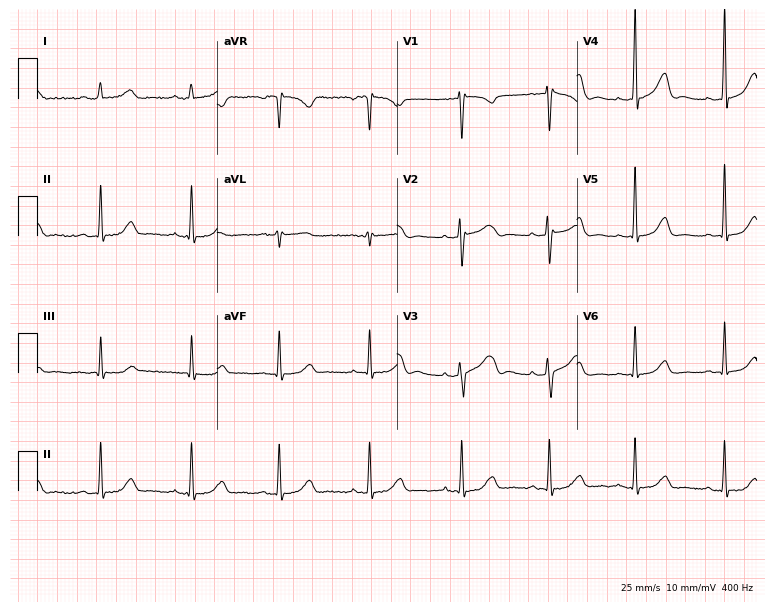
12-lead ECG (7.3-second recording at 400 Hz) from a 34-year-old female. Screened for six findings — first-degree AV block, right bundle branch block, left bundle branch block, sinus bradycardia, atrial fibrillation, sinus tachycardia — none is recorded.